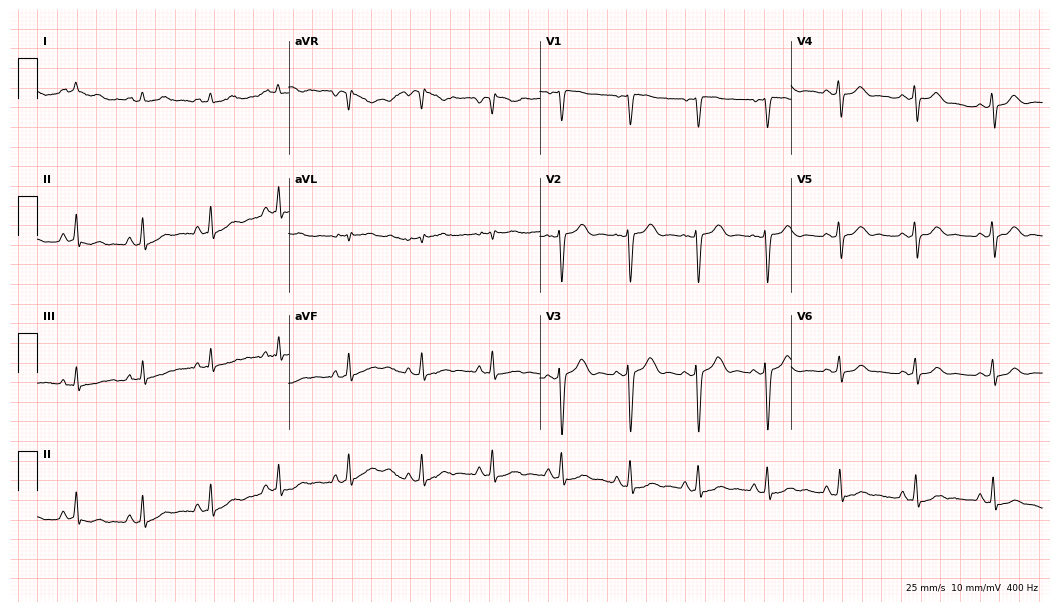
Electrocardiogram (10.2-second recording at 400 Hz), a 34-year-old female. Overall reading on record: normal ECG.